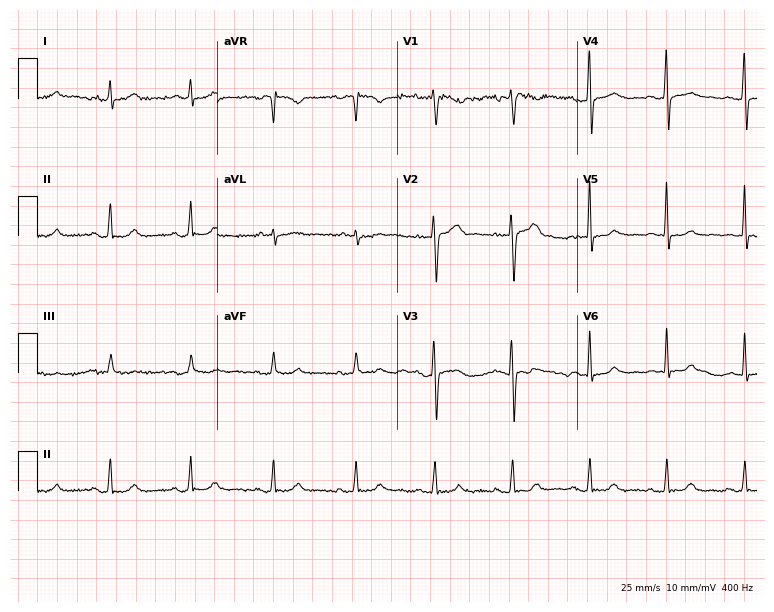
Electrocardiogram, a male patient, 34 years old. Of the six screened findings (first-degree AV block, right bundle branch block (RBBB), left bundle branch block (LBBB), sinus bradycardia, atrial fibrillation (AF), sinus tachycardia), none is recorded. Other findings, if any, are not listed.